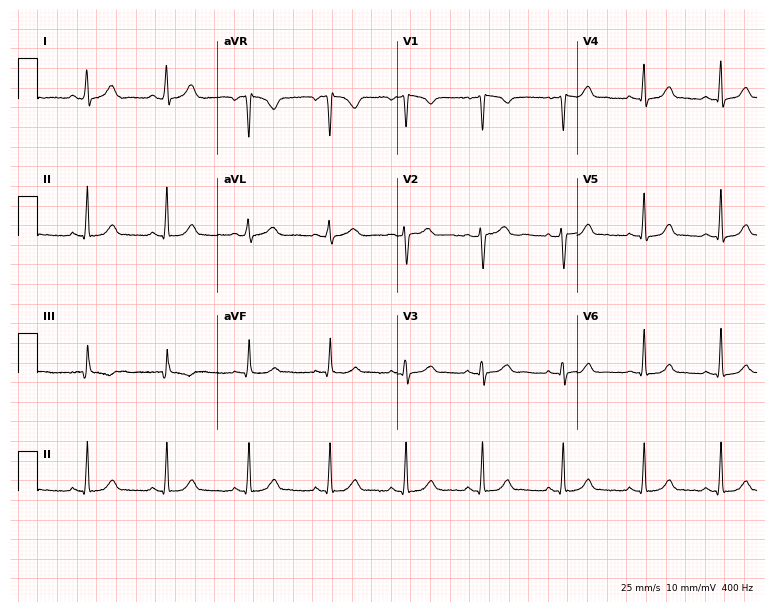
12-lead ECG from a 41-year-old female. Screened for six findings — first-degree AV block, right bundle branch block, left bundle branch block, sinus bradycardia, atrial fibrillation, sinus tachycardia — none is recorded.